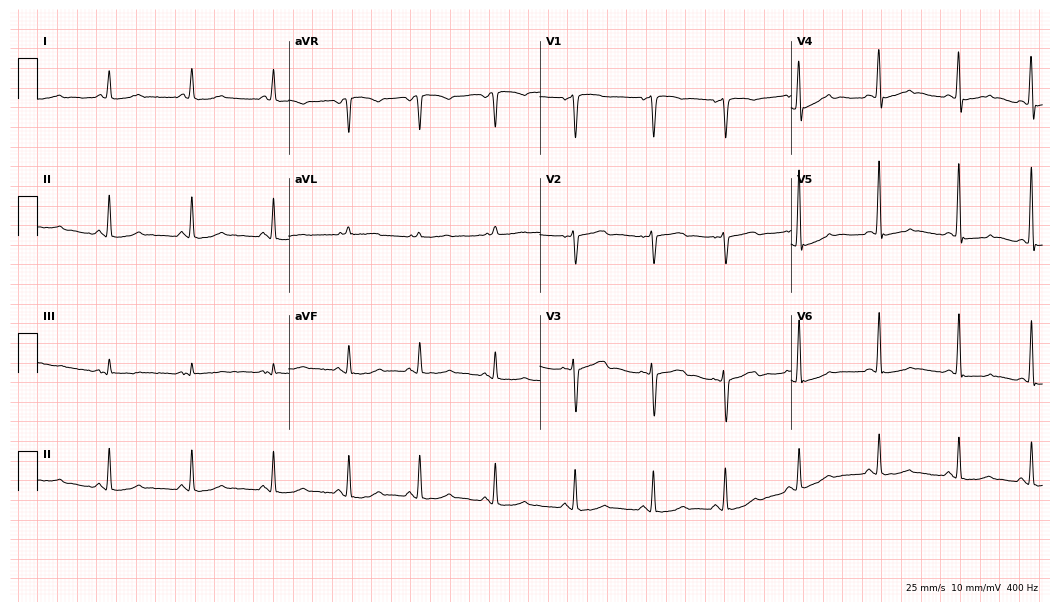
Standard 12-lead ECG recorded from a 42-year-old female. None of these six findings is recorded: first-degree AV block, right bundle branch block, left bundle branch block, sinus bradycardia, atrial fibrillation, sinus tachycardia. Other findings, if any, are not listed.